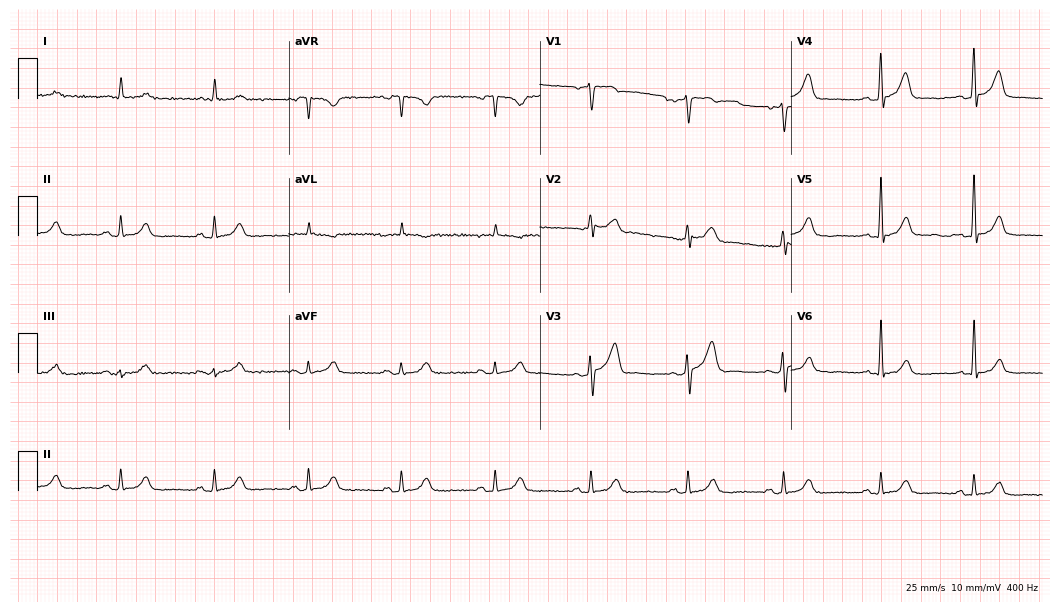
12-lead ECG (10.2-second recording at 400 Hz) from a 62-year-old man. Labelled as a normal ECG.